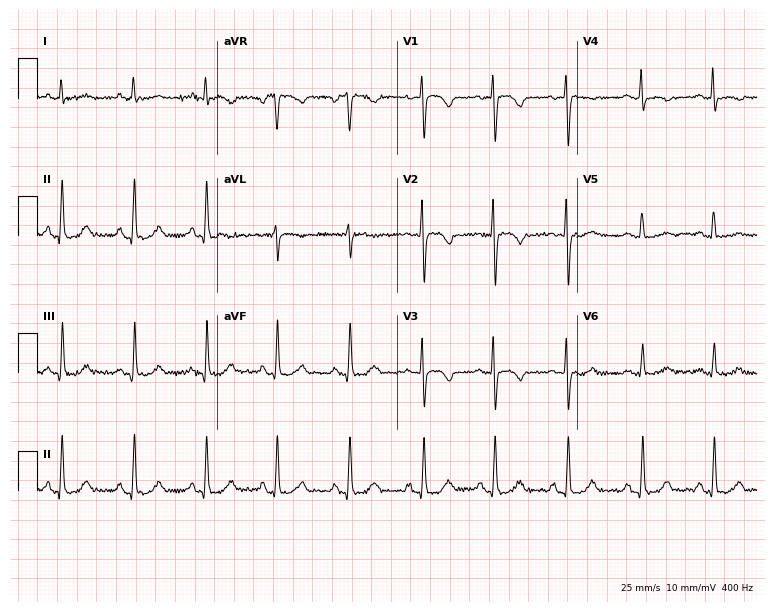
Electrocardiogram (7.3-second recording at 400 Hz), a 39-year-old female. Of the six screened findings (first-degree AV block, right bundle branch block, left bundle branch block, sinus bradycardia, atrial fibrillation, sinus tachycardia), none is recorded. Findings outside these six are not listed.